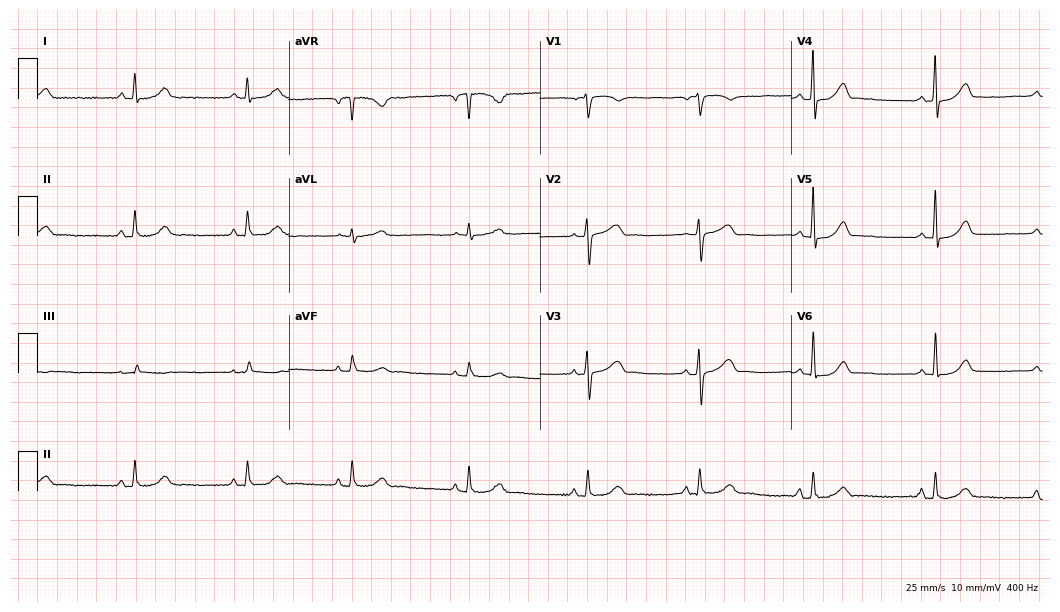
12-lead ECG from a female, 40 years old (10.2-second recording at 400 Hz). Recorded interpretation: within normal limits.